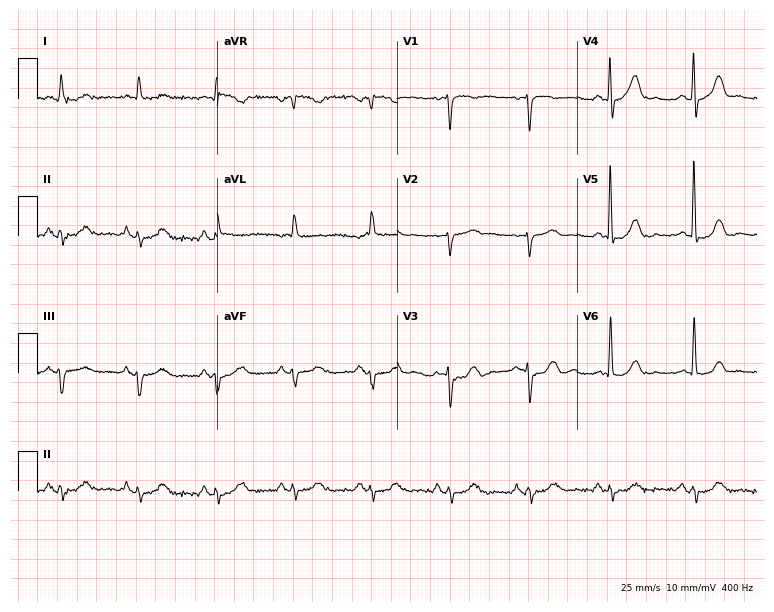
Resting 12-lead electrocardiogram. Patient: an 83-year-old female. None of these six findings is recorded: first-degree AV block, right bundle branch block (RBBB), left bundle branch block (LBBB), sinus bradycardia, atrial fibrillation (AF), sinus tachycardia. Only these six findings were labelled.